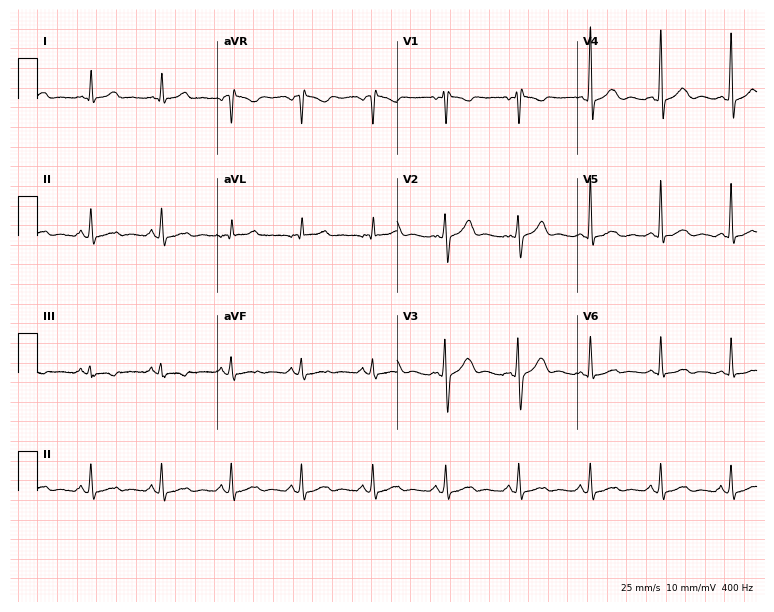
12-lead ECG (7.3-second recording at 400 Hz) from a female patient, 49 years old. Labelled as a normal ECG.